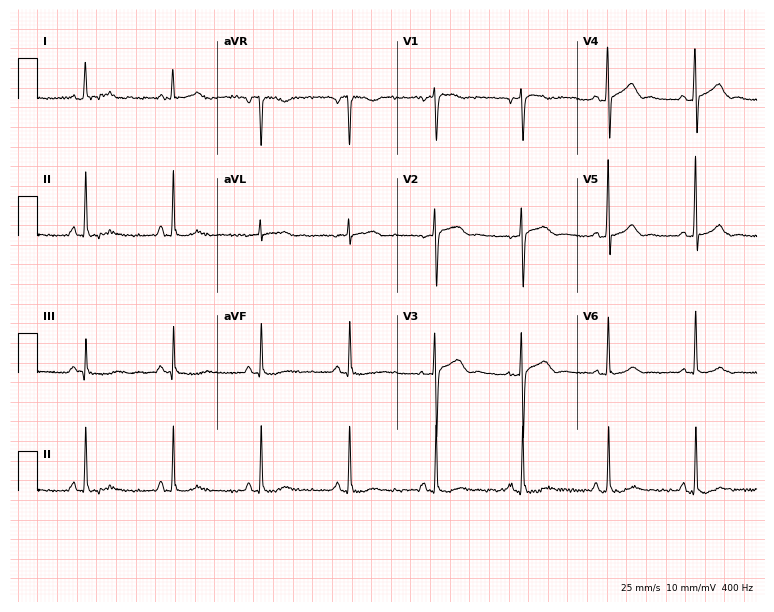
Standard 12-lead ECG recorded from a 41-year-old female patient (7.3-second recording at 400 Hz). None of these six findings is recorded: first-degree AV block, right bundle branch block, left bundle branch block, sinus bradycardia, atrial fibrillation, sinus tachycardia. Only these six findings were labelled.